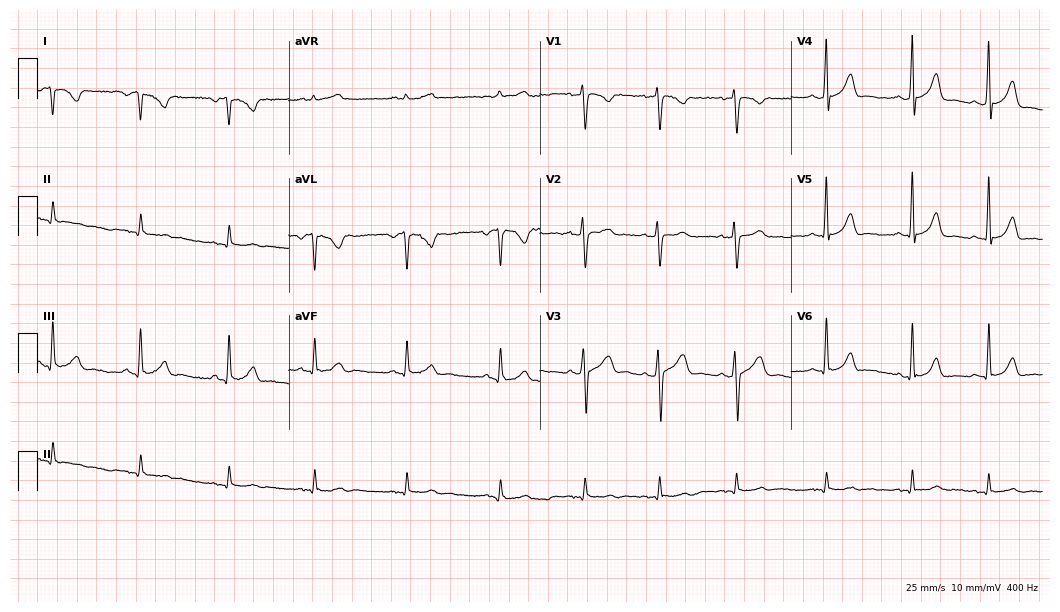
12-lead ECG (10.2-second recording at 400 Hz) from a female patient, 20 years old. Labelled as a normal ECG.